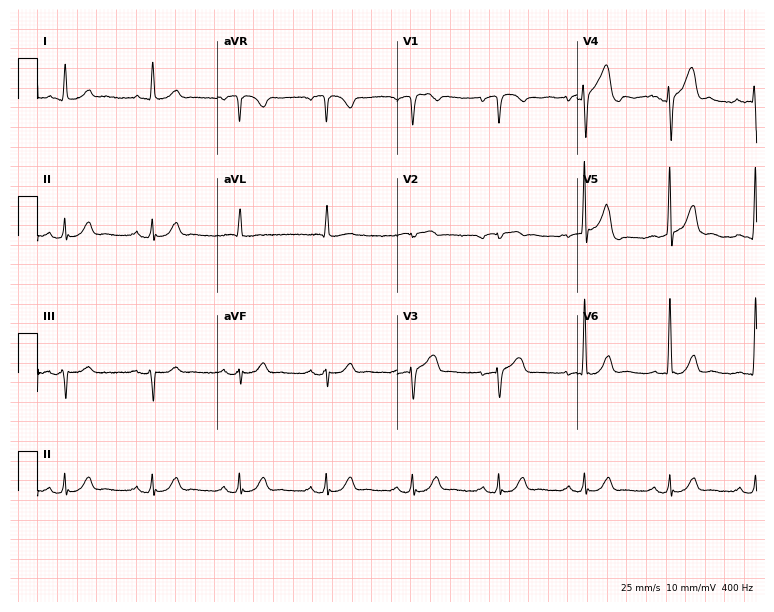
12-lead ECG from a 77-year-old male (7.3-second recording at 400 Hz). No first-degree AV block, right bundle branch block (RBBB), left bundle branch block (LBBB), sinus bradycardia, atrial fibrillation (AF) or sinus tachycardia recorded for this tracing.